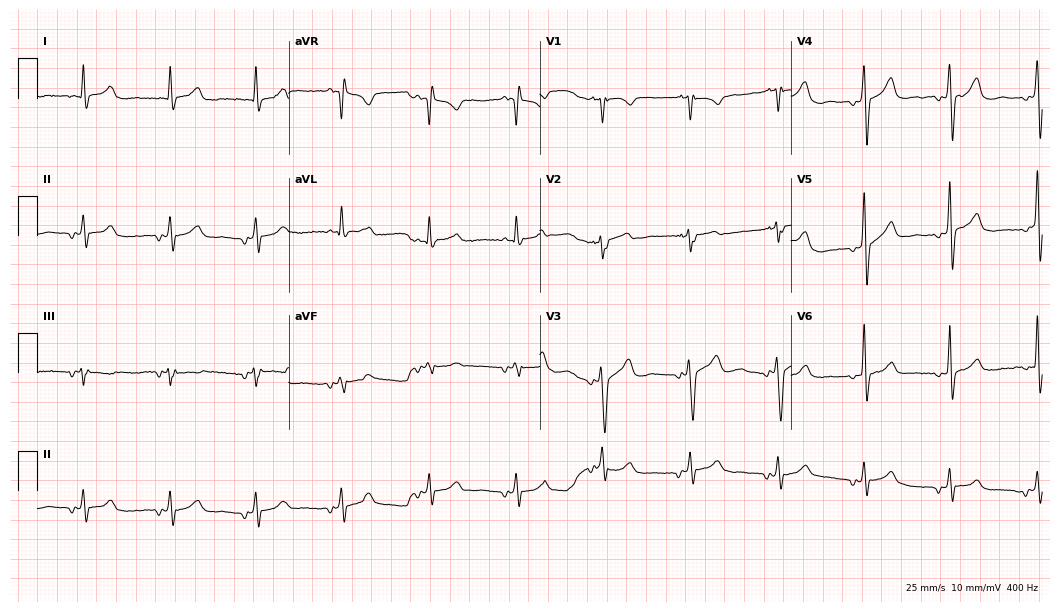
Standard 12-lead ECG recorded from a man, 49 years old. None of these six findings is recorded: first-degree AV block, right bundle branch block (RBBB), left bundle branch block (LBBB), sinus bradycardia, atrial fibrillation (AF), sinus tachycardia.